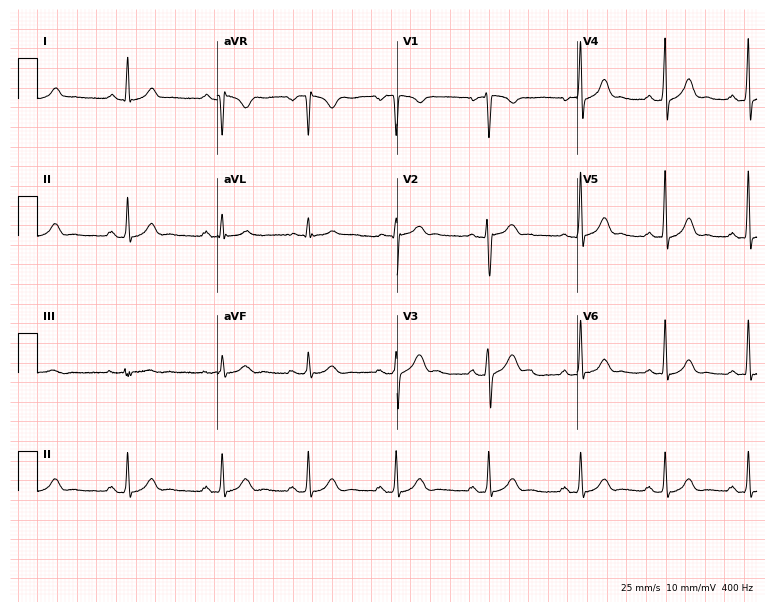
Resting 12-lead electrocardiogram (7.3-second recording at 400 Hz). Patient: a 27-year-old male. Read as a normal ECG.